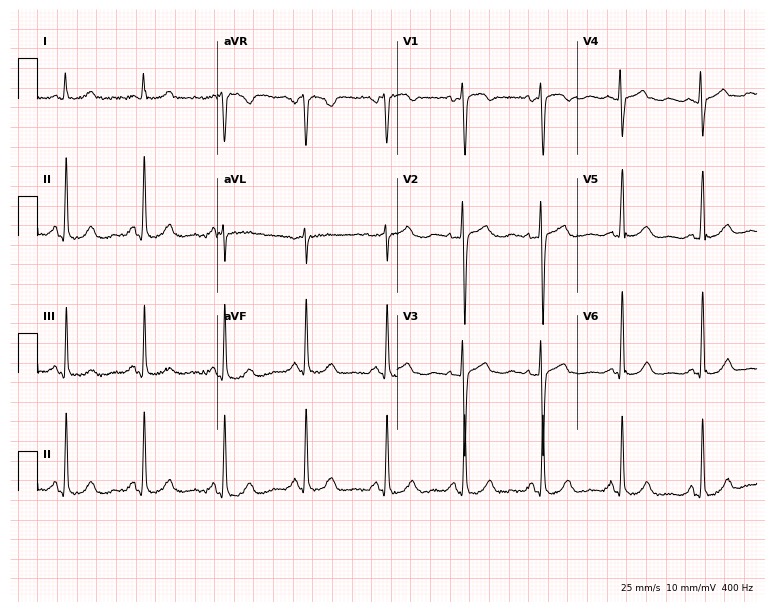
12-lead ECG from a female patient, 54 years old. Labelled as a normal ECG.